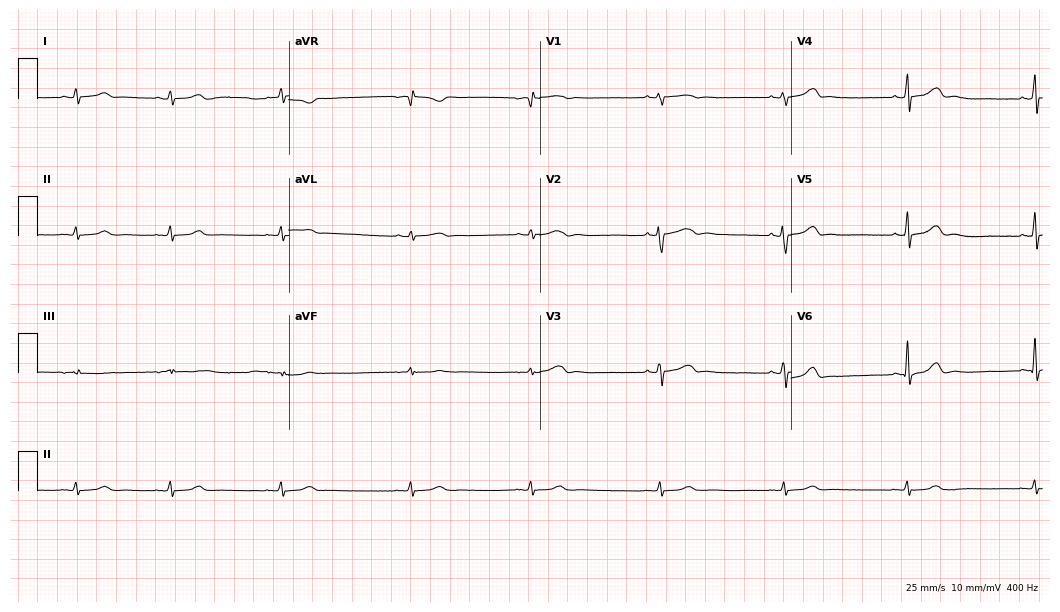
ECG — a female patient, 24 years old. Findings include sinus bradycardia (a sinus rate of 50 beats per minute or less).